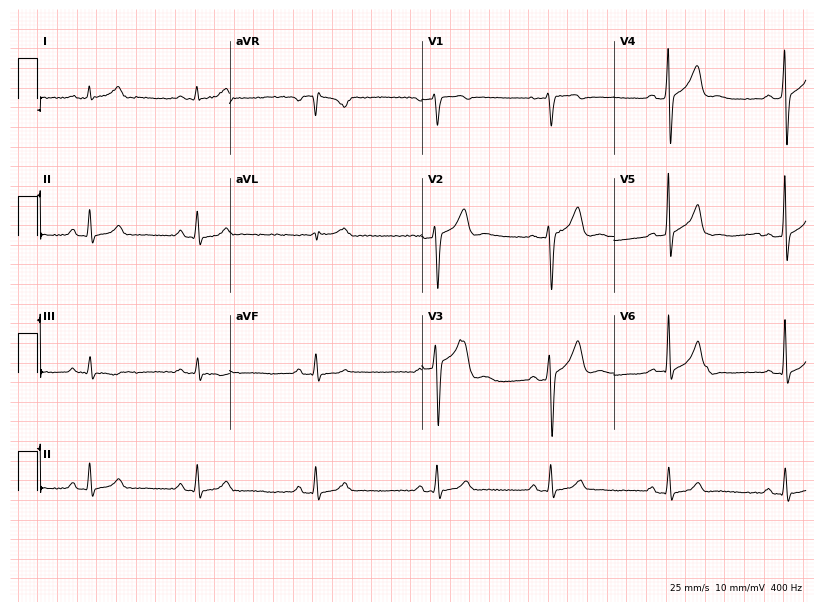
Resting 12-lead electrocardiogram. Patient: a male, 45 years old. Read as a normal ECG.